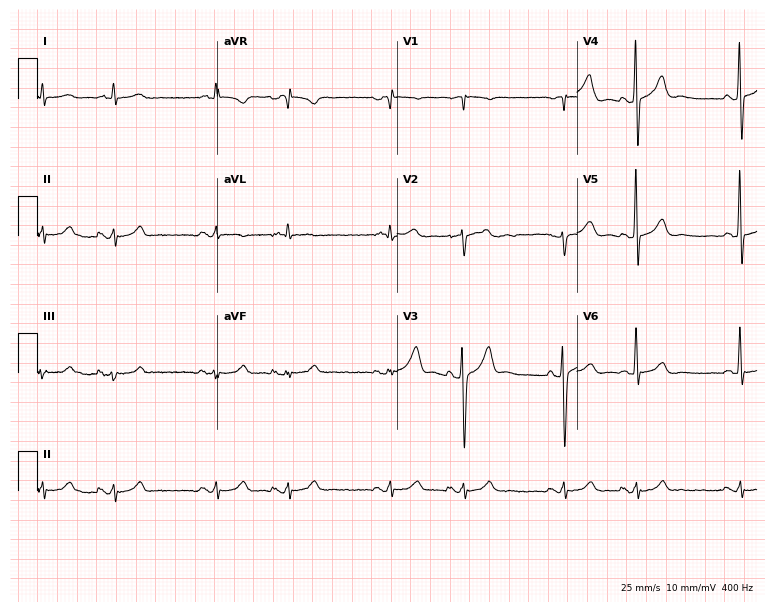
ECG — a 64-year-old male patient. Screened for six findings — first-degree AV block, right bundle branch block (RBBB), left bundle branch block (LBBB), sinus bradycardia, atrial fibrillation (AF), sinus tachycardia — none is recorded.